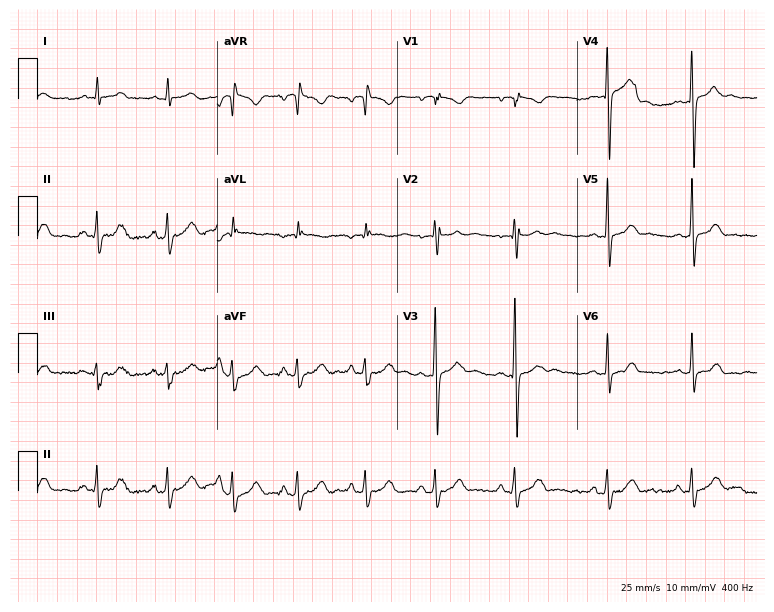
12-lead ECG from a 19-year-old male patient (7.3-second recording at 400 Hz). No first-degree AV block, right bundle branch block (RBBB), left bundle branch block (LBBB), sinus bradycardia, atrial fibrillation (AF) or sinus tachycardia recorded for this tracing.